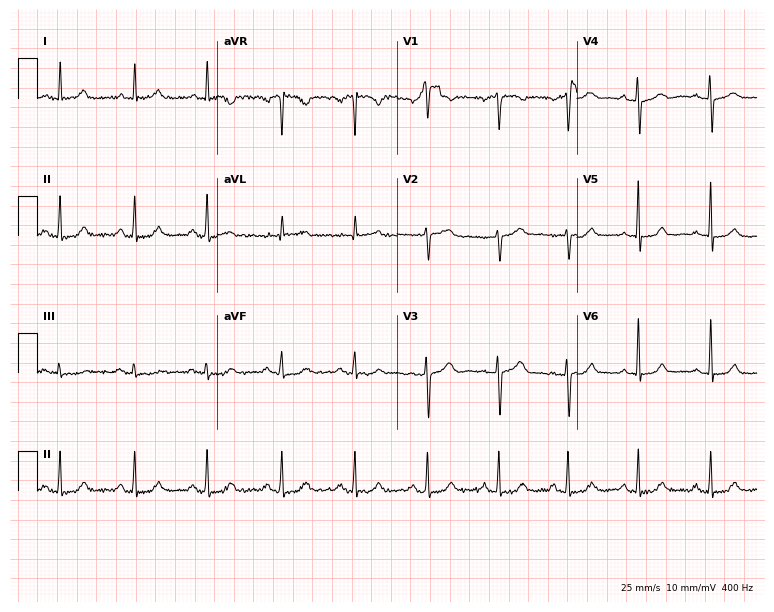
12-lead ECG from a 56-year-old female. No first-degree AV block, right bundle branch block, left bundle branch block, sinus bradycardia, atrial fibrillation or sinus tachycardia recorded for this tracing.